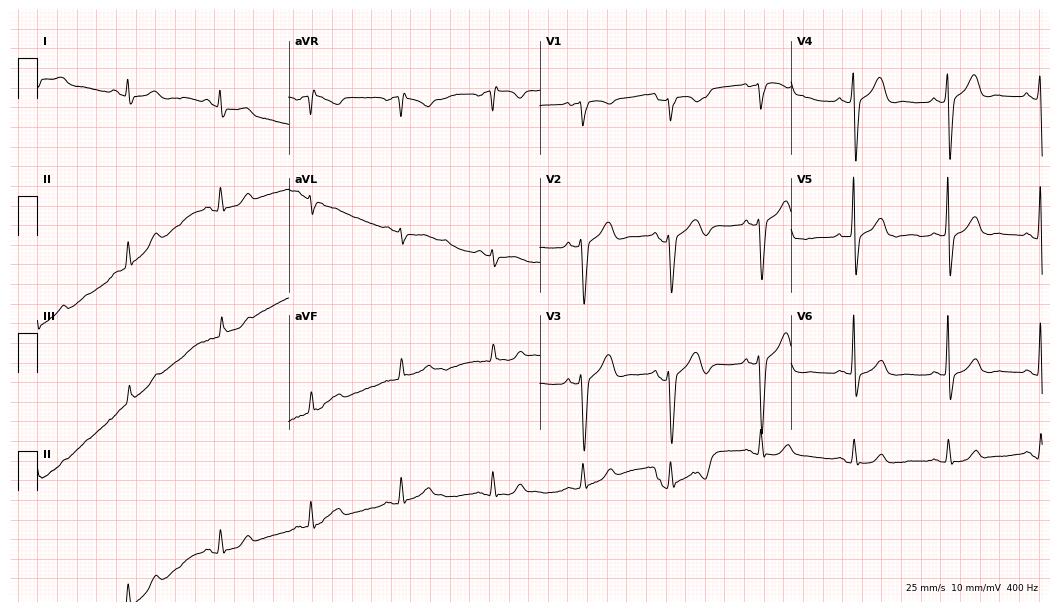
Standard 12-lead ECG recorded from a man, 45 years old. Read as a normal ECG.